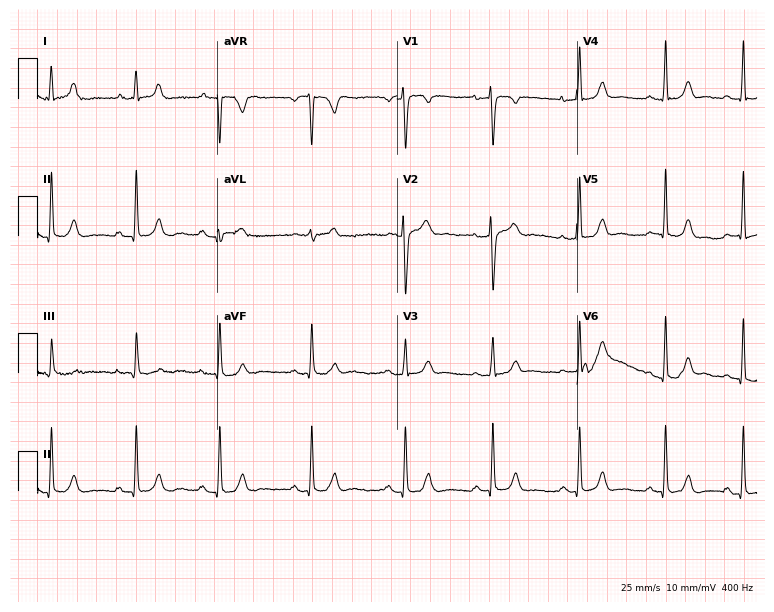
12-lead ECG from a 35-year-old female (7.3-second recording at 400 Hz). No first-degree AV block, right bundle branch block (RBBB), left bundle branch block (LBBB), sinus bradycardia, atrial fibrillation (AF) or sinus tachycardia recorded for this tracing. Findings outside these six are not listed.